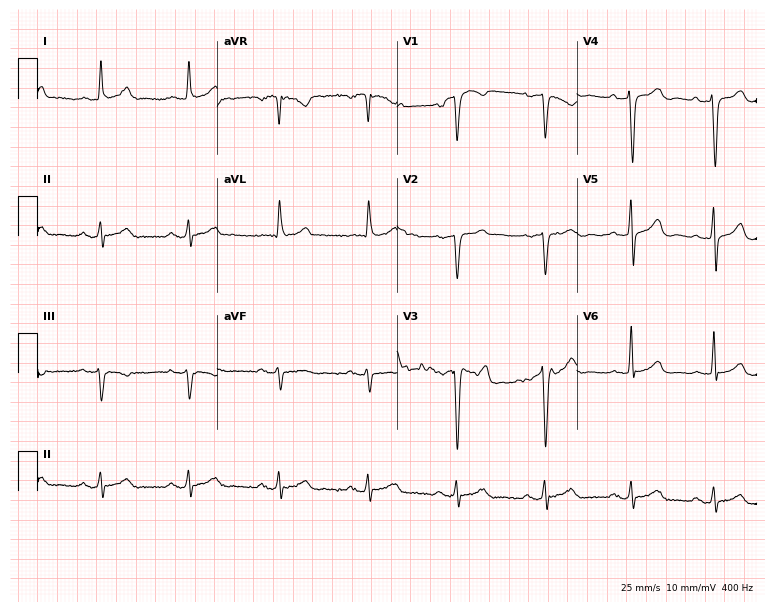
Electrocardiogram, a man, 78 years old. Of the six screened findings (first-degree AV block, right bundle branch block, left bundle branch block, sinus bradycardia, atrial fibrillation, sinus tachycardia), none is recorded.